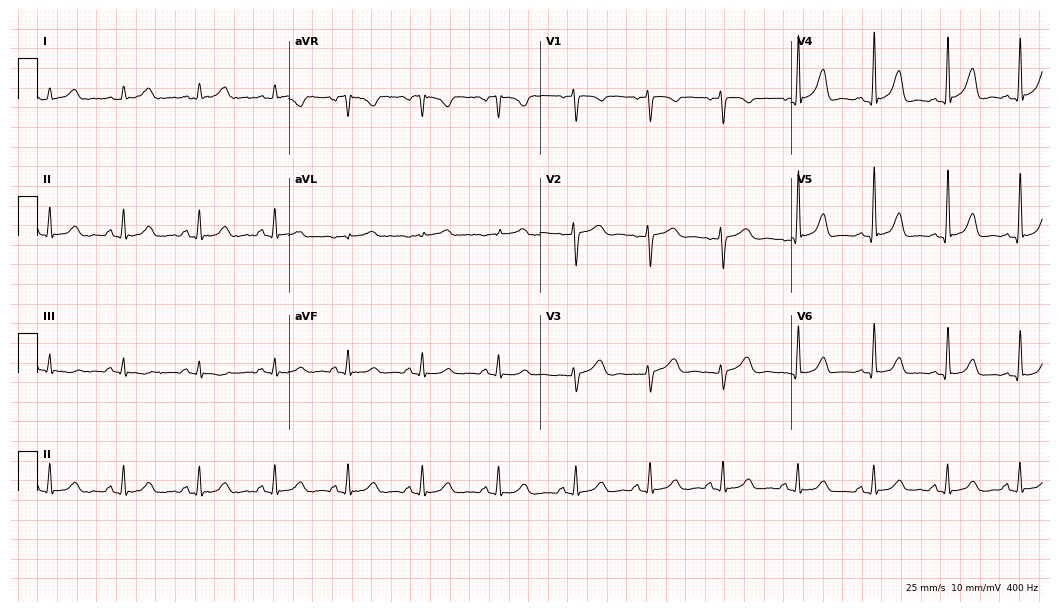
ECG (10.2-second recording at 400 Hz) — a 35-year-old female patient. Labelled as a normal ECG.